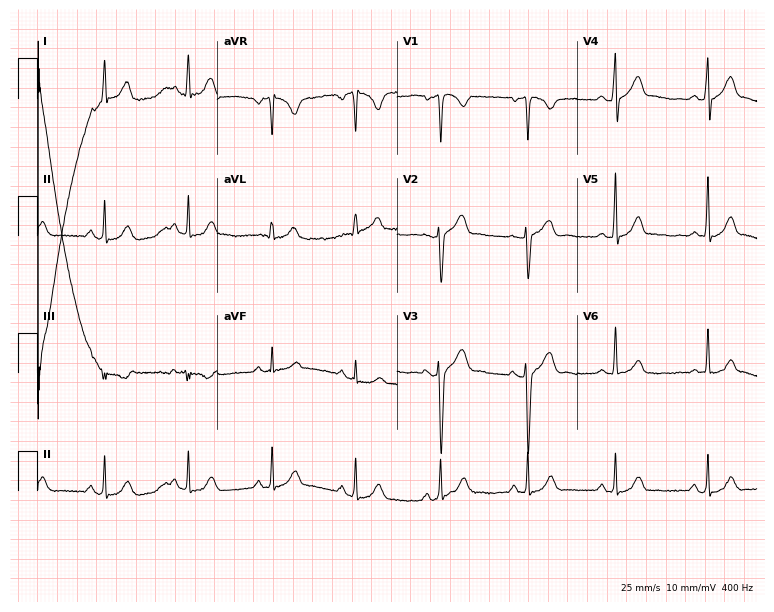
Resting 12-lead electrocardiogram. Patient: a 35-year-old male. Read as a normal ECG.